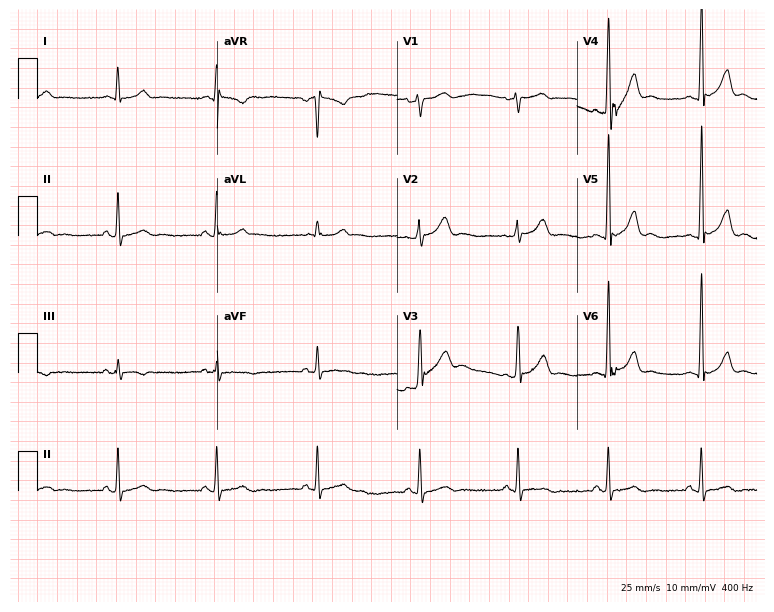
12-lead ECG from a man, 36 years old. Screened for six findings — first-degree AV block, right bundle branch block, left bundle branch block, sinus bradycardia, atrial fibrillation, sinus tachycardia — none is recorded. Findings outside these six are not listed.